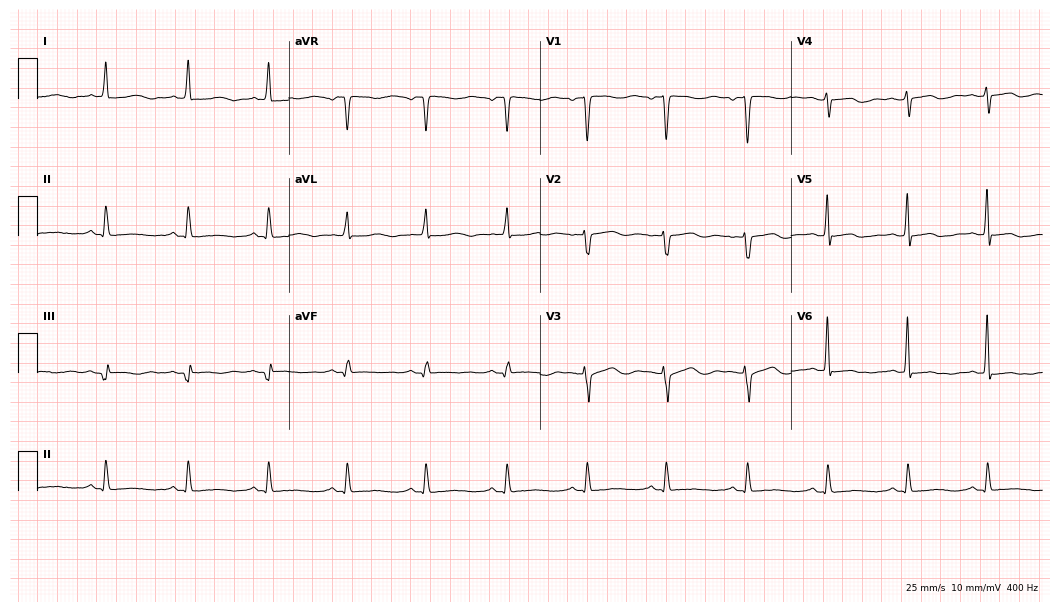
Electrocardiogram, a female patient, 57 years old. Of the six screened findings (first-degree AV block, right bundle branch block, left bundle branch block, sinus bradycardia, atrial fibrillation, sinus tachycardia), none is recorded.